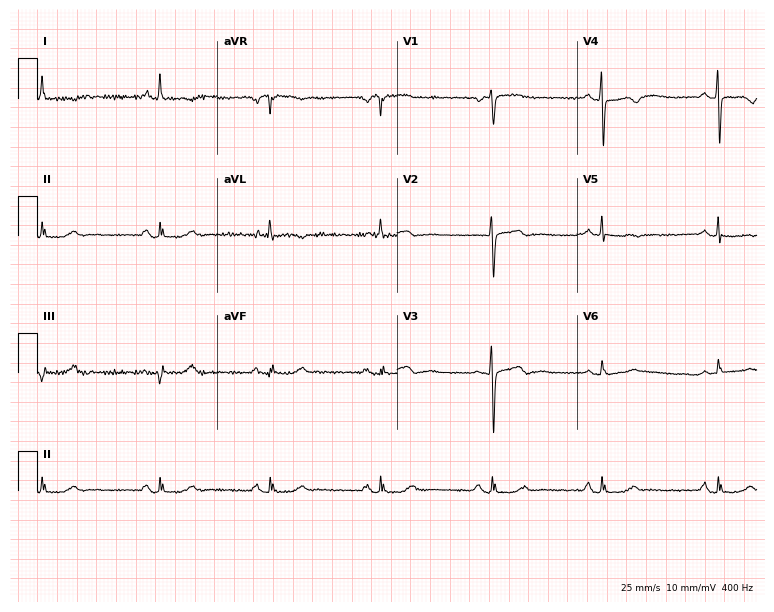
12-lead ECG (7.3-second recording at 400 Hz) from a female, 61 years old. Screened for six findings — first-degree AV block, right bundle branch block, left bundle branch block, sinus bradycardia, atrial fibrillation, sinus tachycardia — none is recorded.